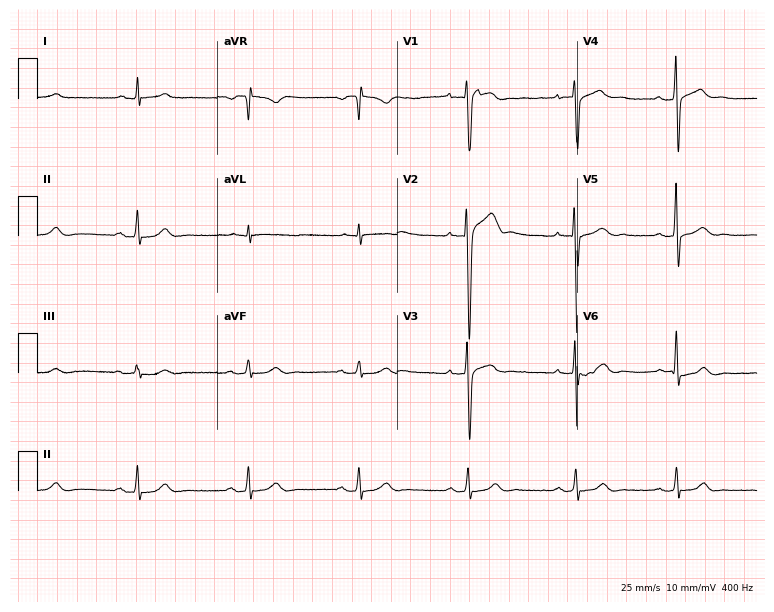
12-lead ECG from a male, 45 years old (7.3-second recording at 400 Hz). Recorded interpretation: within normal limits.